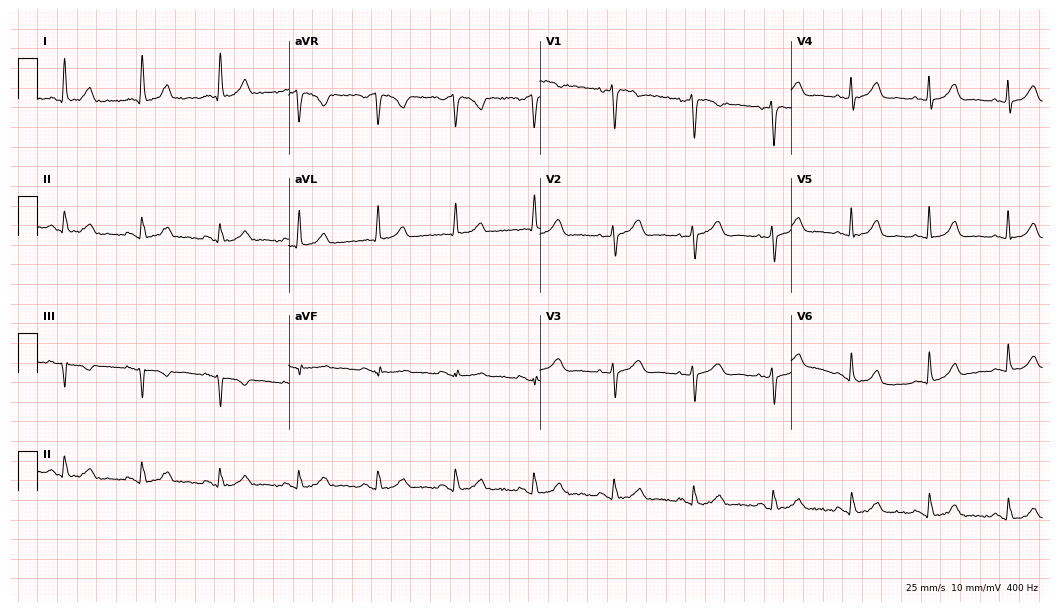
Resting 12-lead electrocardiogram. Patient: a 75-year-old female. Read as a normal ECG.